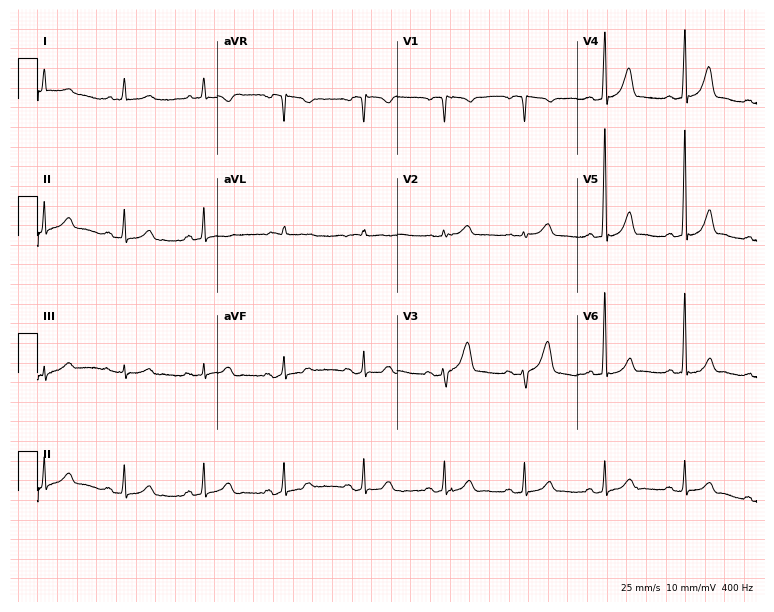
12-lead ECG from a male patient, 68 years old (7.3-second recording at 400 Hz). Recorded interpretation: within normal limits.